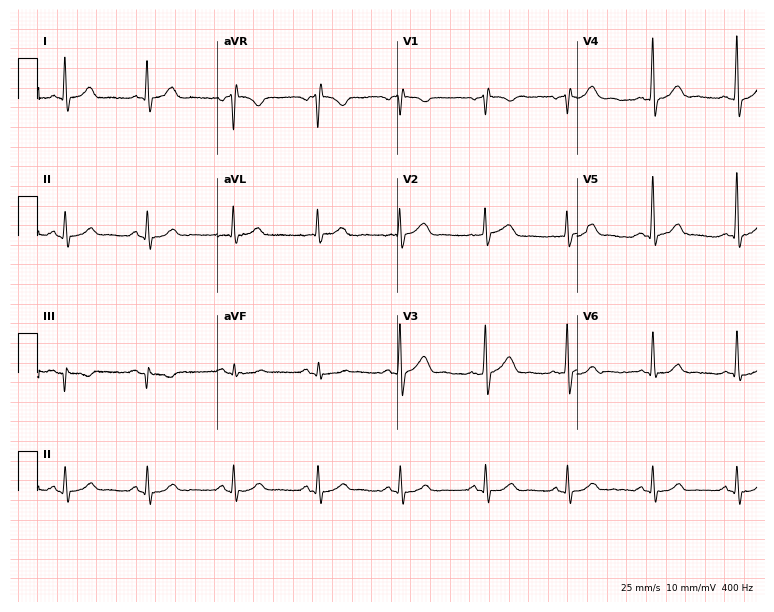
Standard 12-lead ECG recorded from a male patient, 65 years old. None of these six findings is recorded: first-degree AV block, right bundle branch block, left bundle branch block, sinus bradycardia, atrial fibrillation, sinus tachycardia. Only these six findings were labelled.